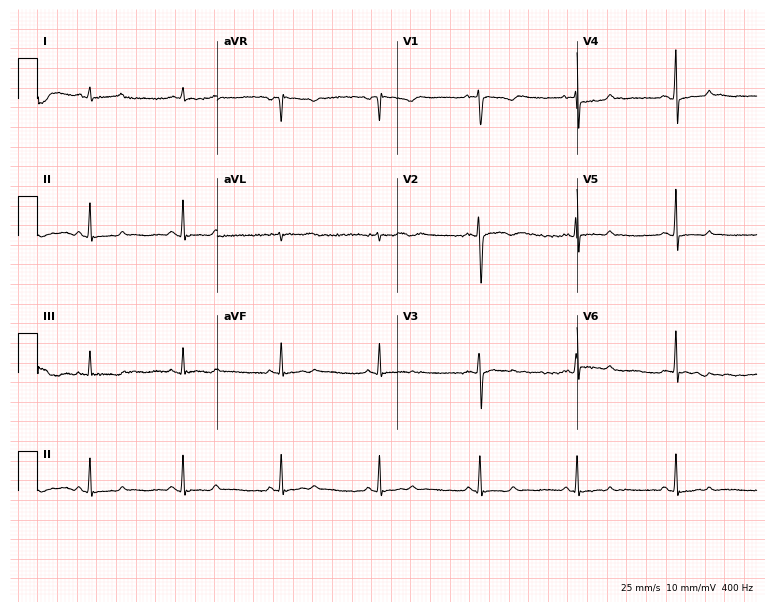
12-lead ECG from a 21-year-old female (7.3-second recording at 400 Hz). No first-degree AV block, right bundle branch block, left bundle branch block, sinus bradycardia, atrial fibrillation or sinus tachycardia recorded for this tracing. Only these six findings were labelled.